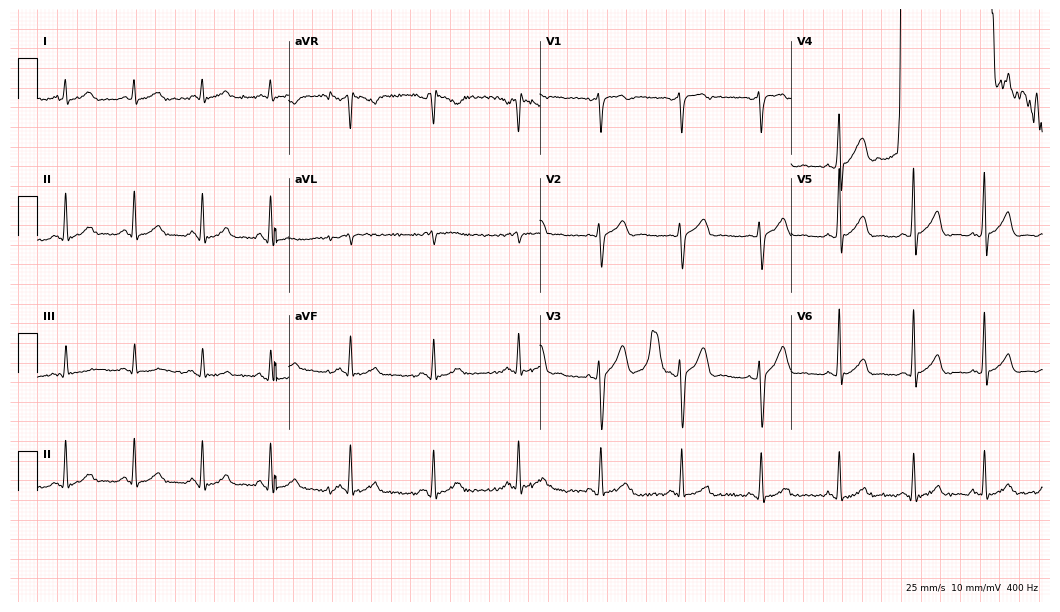
12-lead ECG (10.2-second recording at 400 Hz) from a male patient, 25 years old. Labelled as a normal ECG.